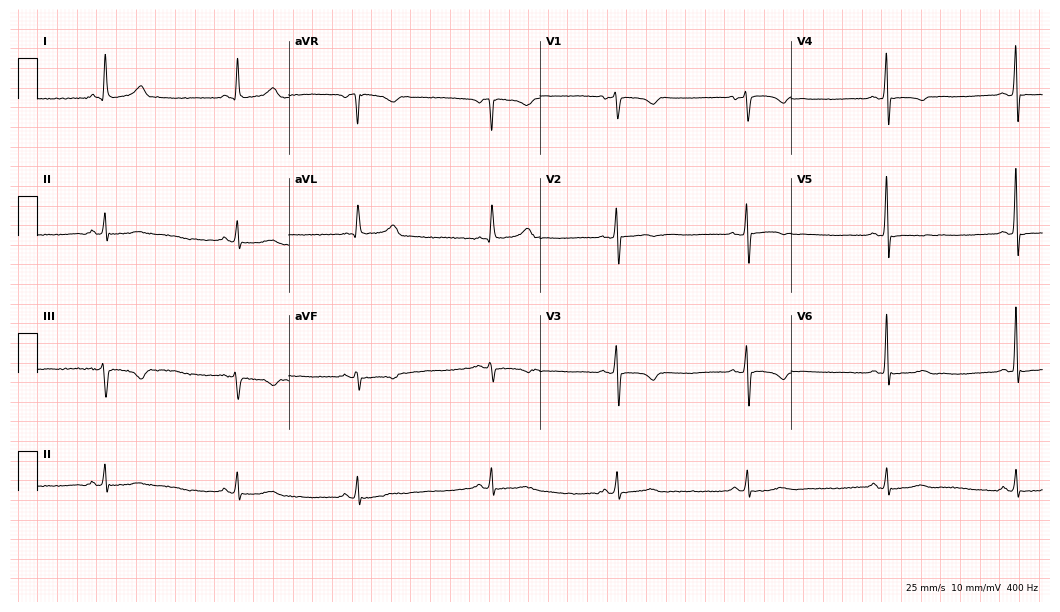
Resting 12-lead electrocardiogram (10.2-second recording at 400 Hz). Patient: a 62-year-old female. The tracing shows sinus bradycardia (a sinus rate of 50 beats per minute or less).